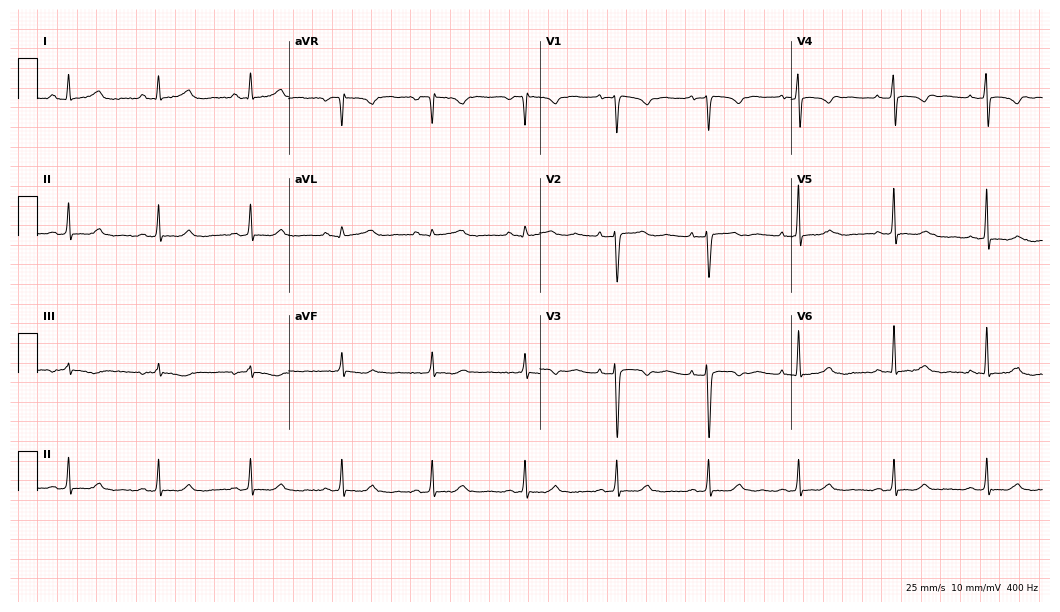
Electrocardiogram (10.2-second recording at 400 Hz), a female patient, 45 years old. Of the six screened findings (first-degree AV block, right bundle branch block (RBBB), left bundle branch block (LBBB), sinus bradycardia, atrial fibrillation (AF), sinus tachycardia), none is recorded.